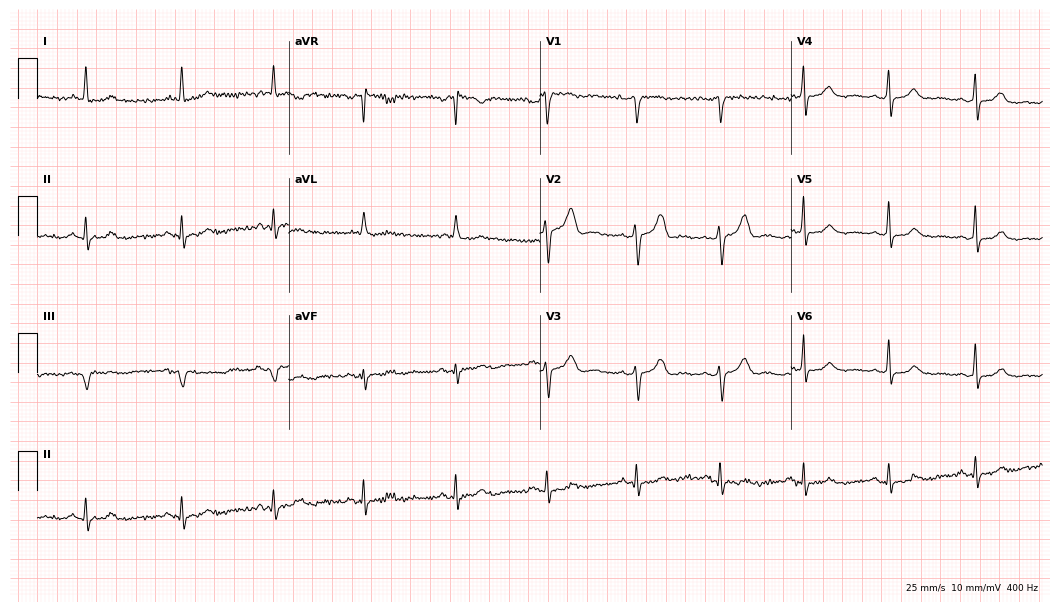
Standard 12-lead ECG recorded from a female patient, 52 years old. Read as a normal ECG.